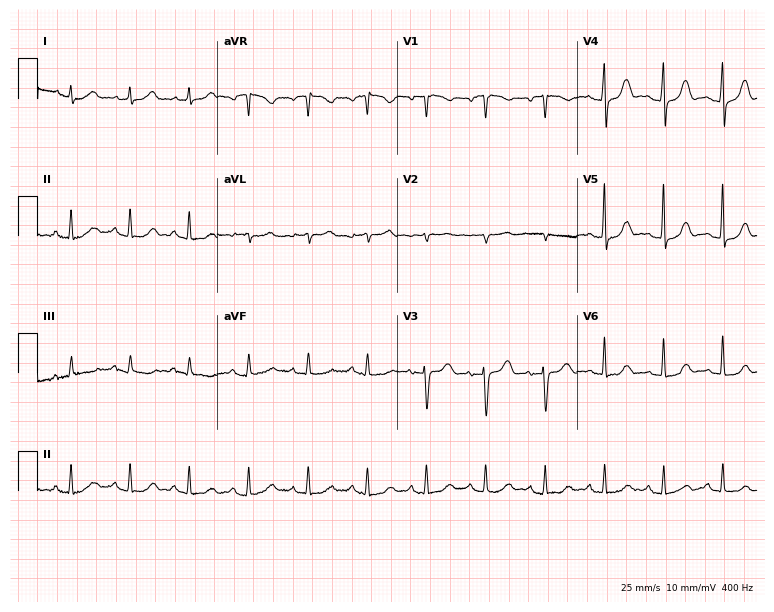
Resting 12-lead electrocardiogram. Patient: an 80-year-old female. Read as a normal ECG.